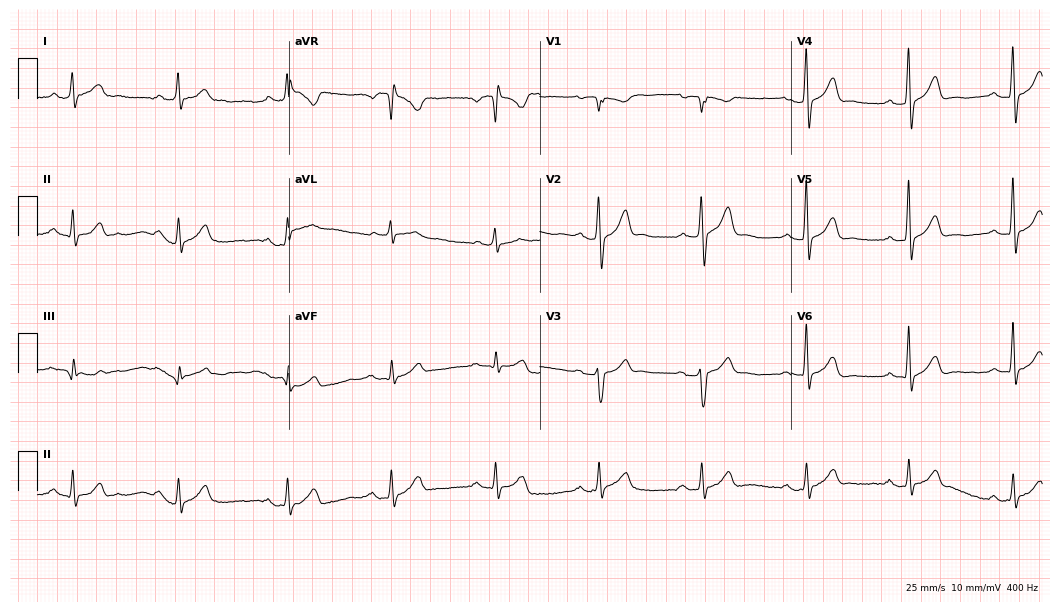
12-lead ECG from a male, 43 years old (10.2-second recording at 400 Hz). Recorded interpretation: within normal limits.